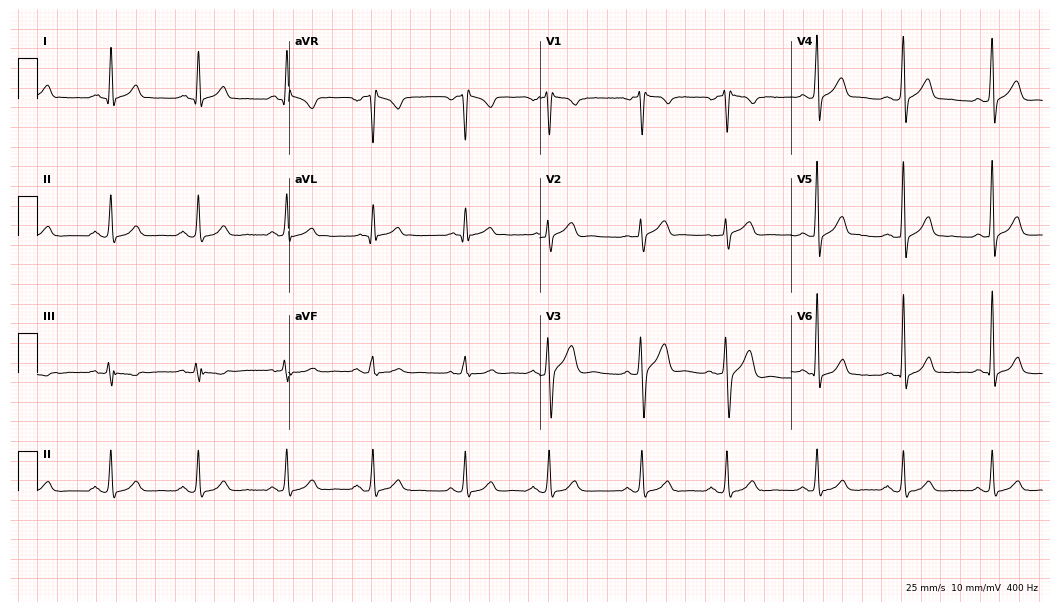
ECG (10.2-second recording at 400 Hz) — a male, 44 years old. Screened for six findings — first-degree AV block, right bundle branch block (RBBB), left bundle branch block (LBBB), sinus bradycardia, atrial fibrillation (AF), sinus tachycardia — none is recorded.